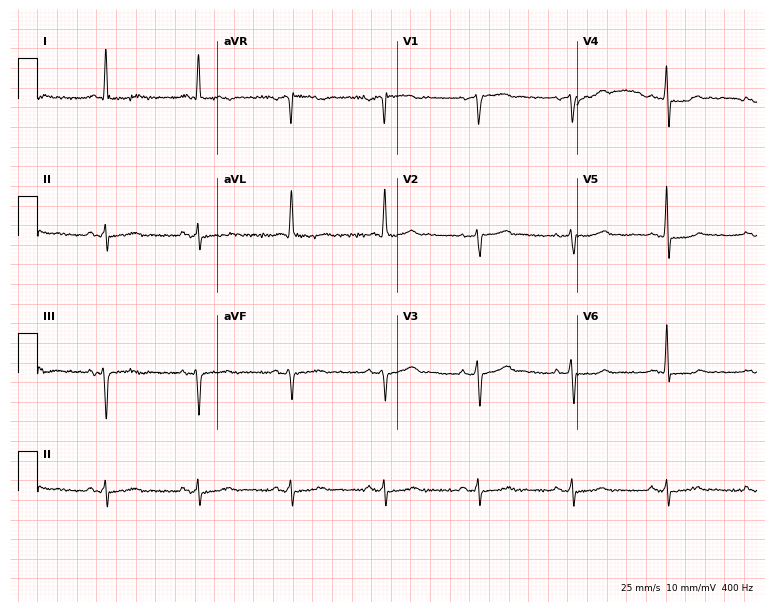
12-lead ECG (7.3-second recording at 400 Hz) from a male patient, 72 years old. Screened for six findings — first-degree AV block, right bundle branch block, left bundle branch block, sinus bradycardia, atrial fibrillation, sinus tachycardia — none is recorded. Findings outside these six are not listed.